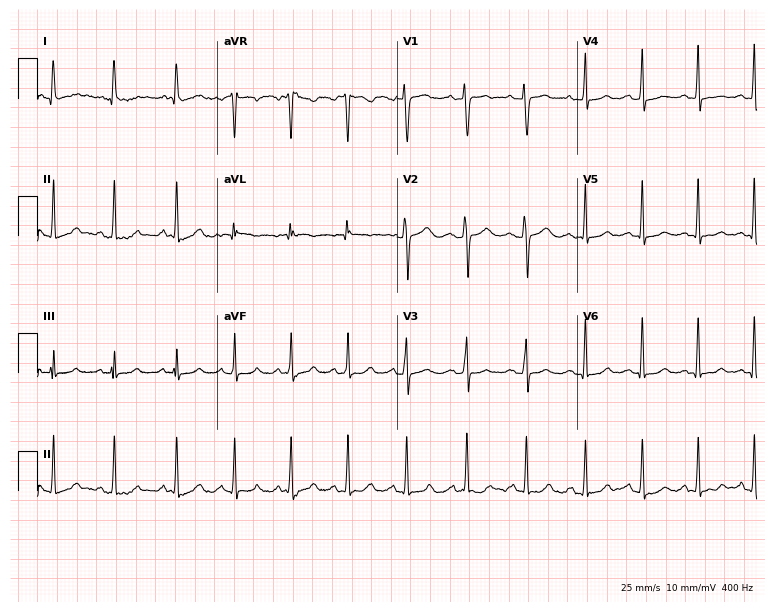
ECG — a female, 21 years old. Labelled as a normal ECG.